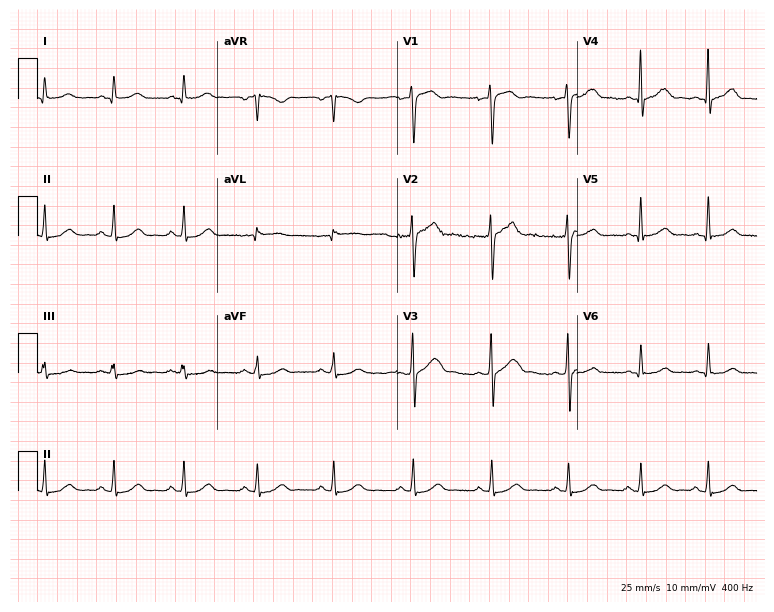
12-lead ECG (7.3-second recording at 400 Hz) from a 38-year-old male. Labelled as a normal ECG.